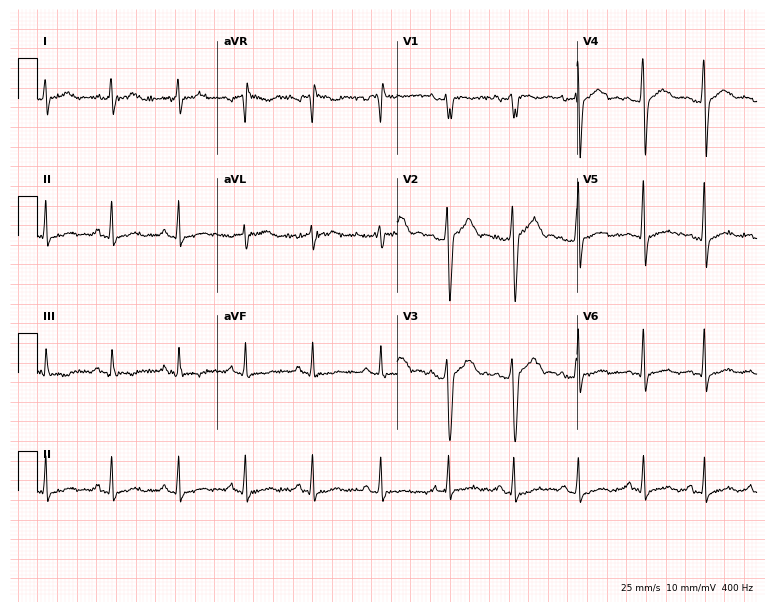
Standard 12-lead ECG recorded from a 38-year-old man (7.3-second recording at 400 Hz). None of these six findings is recorded: first-degree AV block, right bundle branch block (RBBB), left bundle branch block (LBBB), sinus bradycardia, atrial fibrillation (AF), sinus tachycardia.